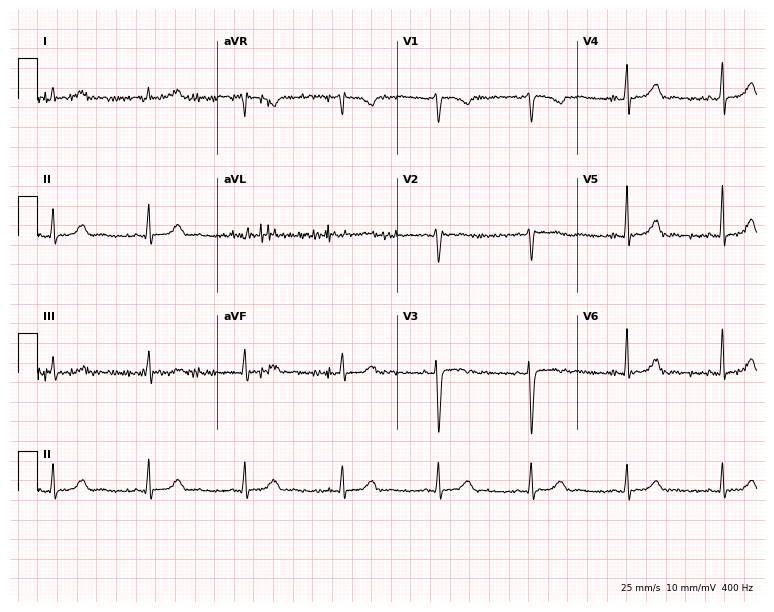
Standard 12-lead ECG recorded from a 45-year-old female patient. None of these six findings is recorded: first-degree AV block, right bundle branch block, left bundle branch block, sinus bradycardia, atrial fibrillation, sinus tachycardia.